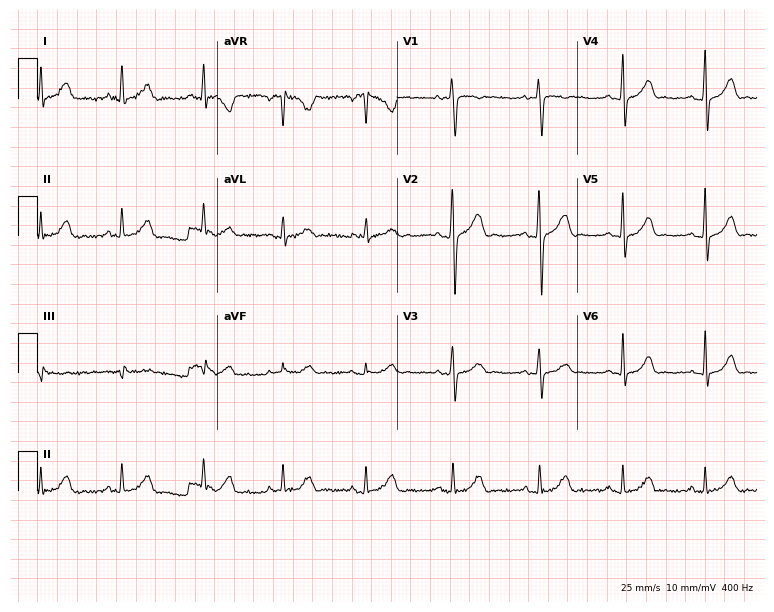
ECG (7.3-second recording at 400 Hz) — a female, 22 years old. Labelled as a normal ECG.